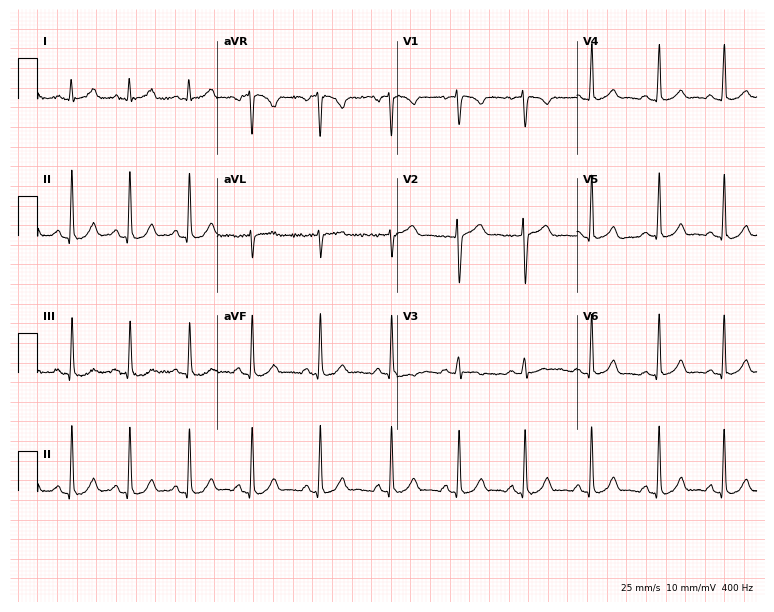
12-lead ECG from a female patient, 25 years old. Recorded interpretation: within normal limits.